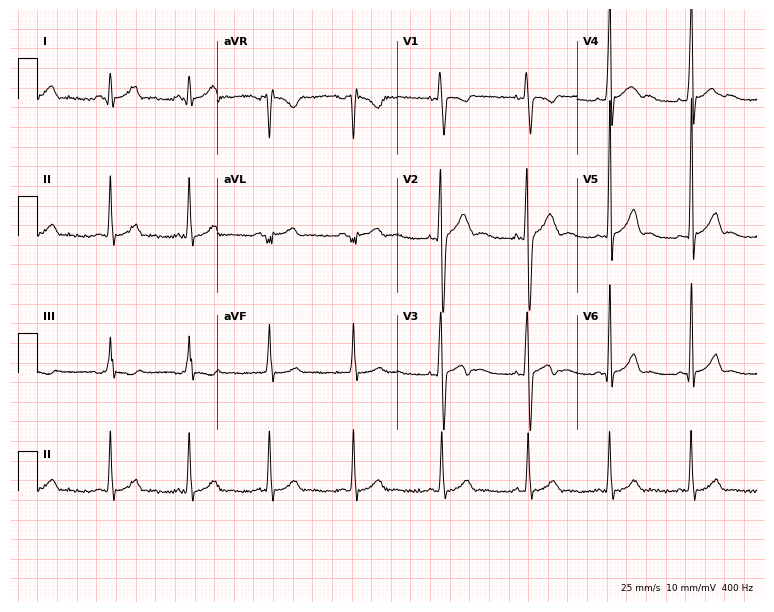
12-lead ECG from a 17-year-old male. Labelled as a normal ECG.